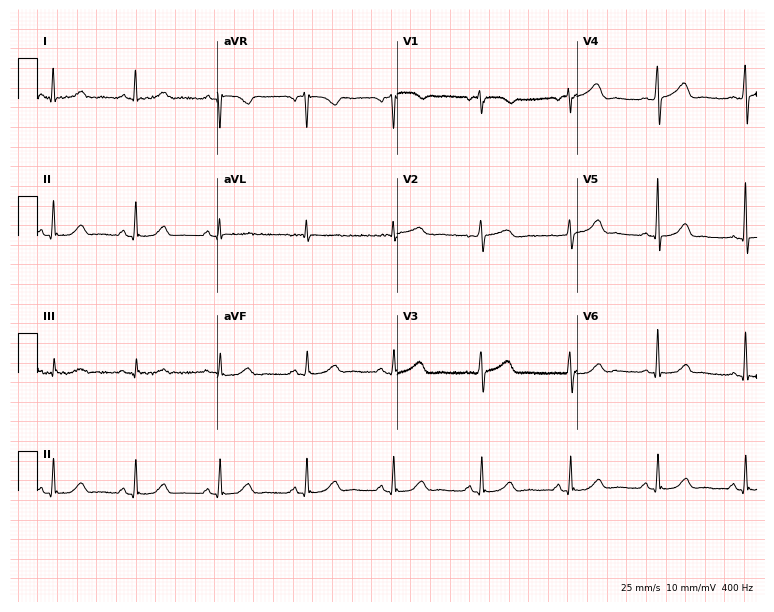
12-lead ECG from a 62-year-old female patient (7.3-second recording at 400 Hz). Recorded interpretation: within normal limits.